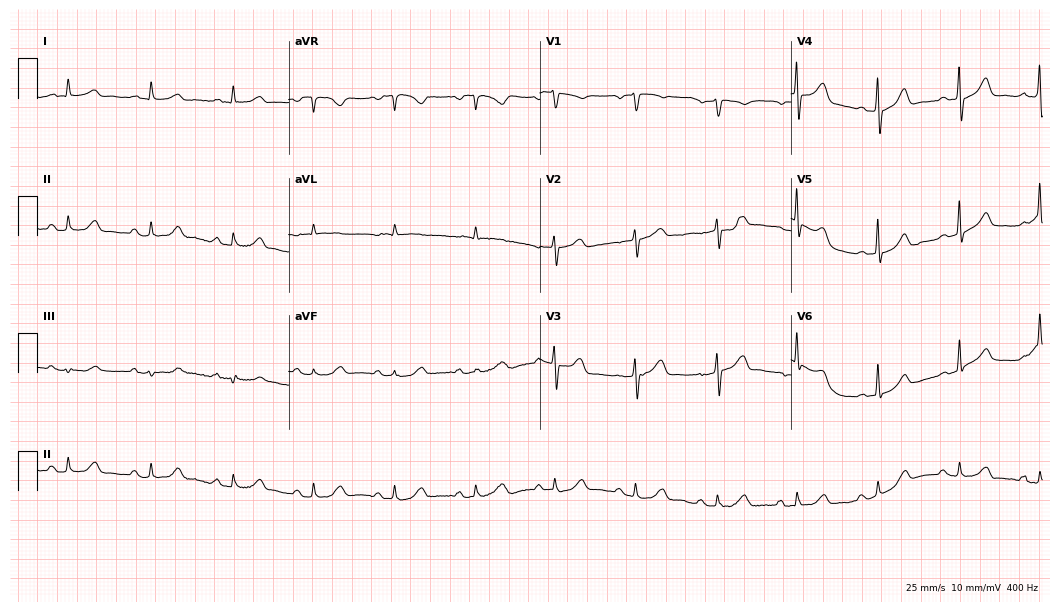
Resting 12-lead electrocardiogram. Patient: a male, 74 years old. None of these six findings is recorded: first-degree AV block, right bundle branch block, left bundle branch block, sinus bradycardia, atrial fibrillation, sinus tachycardia.